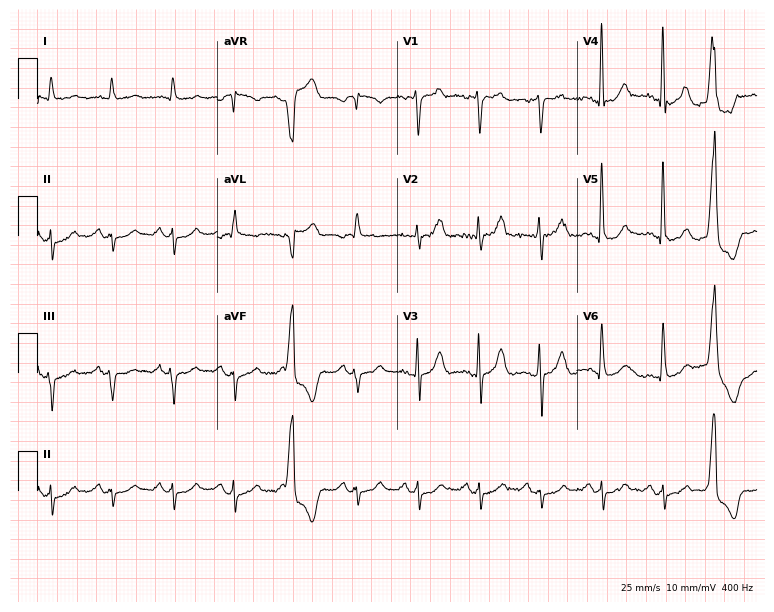
Standard 12-lead ECG recorded from an 84-year-old male patient. None of these six findings is recorded: first-degree AV block, right bundle branch block (RBBB), left bundle branch block (LBBB), sinus bradycardia, atrial fibrillation (AF), sinus tachycardia.